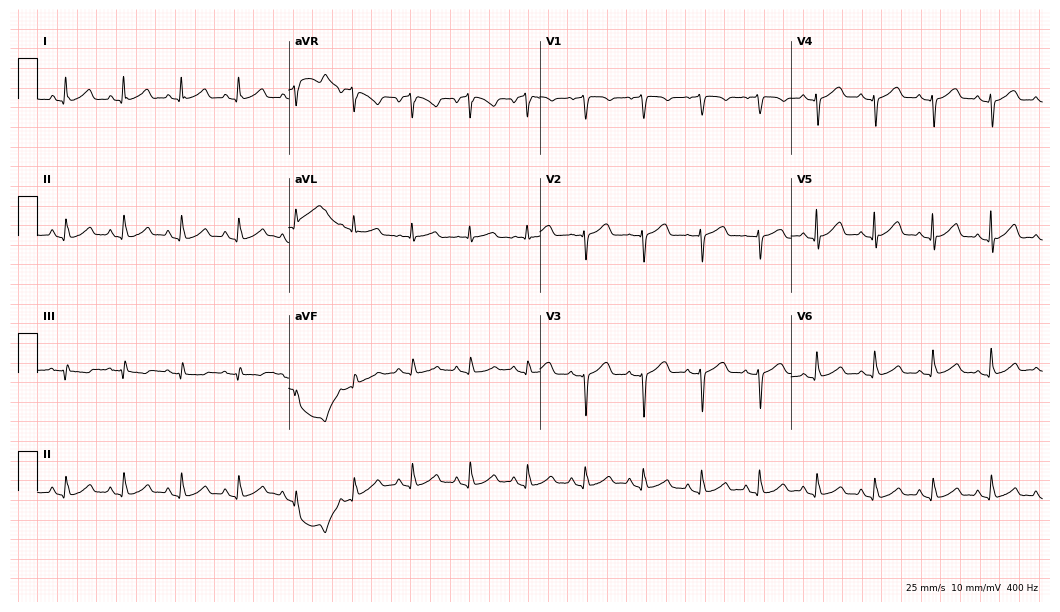
Electrocardiogram, an 82-year-old female. Overall reading on record: normal ECG.